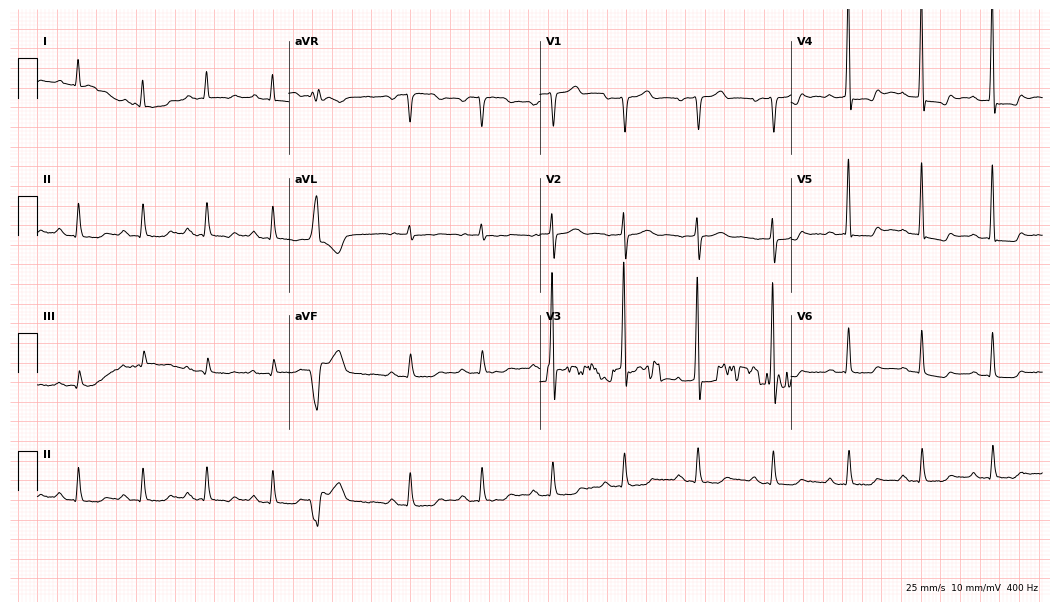
Standard 12-lead ECG recorded from a male patient aged 90 or older (10.2-second recording at 400 Hz). None of these six findings is recorded: first-degree AV block, right bundle branch block (RBBB), left bundle branch block (LBBB), sinus bradycardia, atrial fibrillation (AF), sinus tachycardia. Only these six findings were labelled.